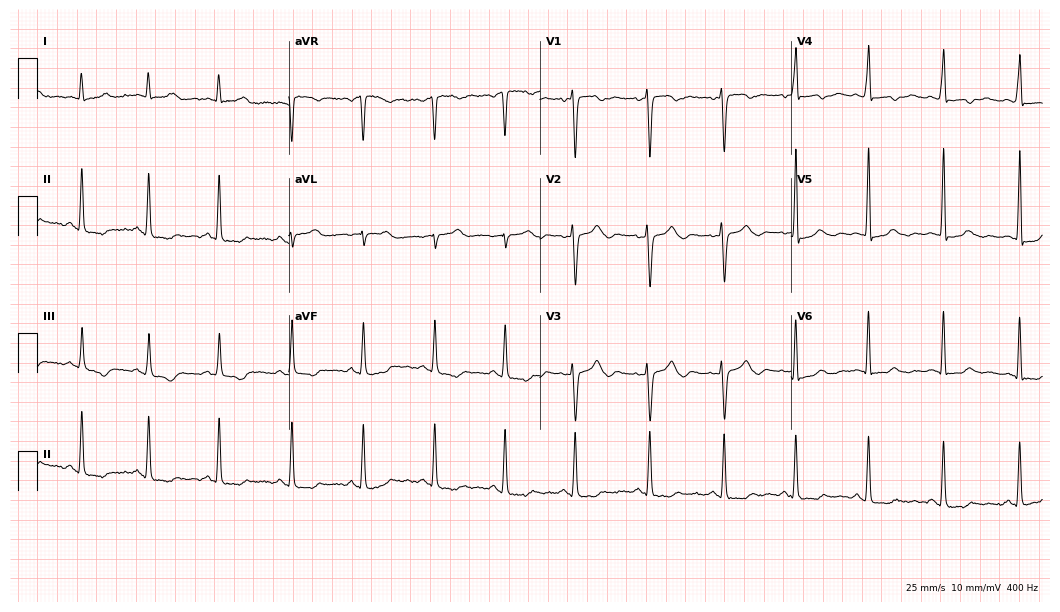
12-lead ECG (10.2-second recording at 400 Hz) from a woman, 21 years old. Screened for six findings — first-degree AV block, right bundle branch block, left bundle branch block, sinus bradycardia, atrial fibrillation, sinus tachycardia — none is recorded. Other findings, if any, are not listed.